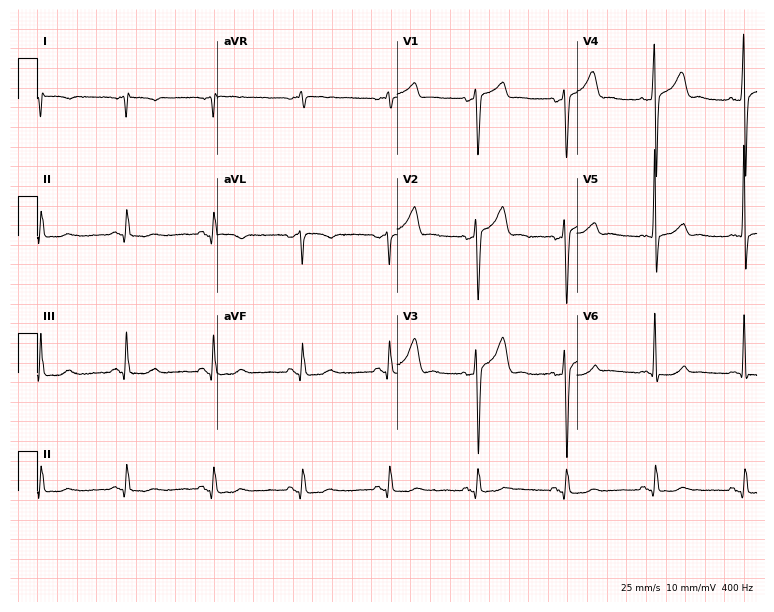
Standard 12-lead ECG recorded from a 69-year-old man (7.3-second recording at 400 Hz). None of these six findings is recorded: first-degree AV block, right bundle branch block, left bundle branch block, sinus bradycardia, atrial fibrillation, sinus tachycardia. Only these six findings were labelled.